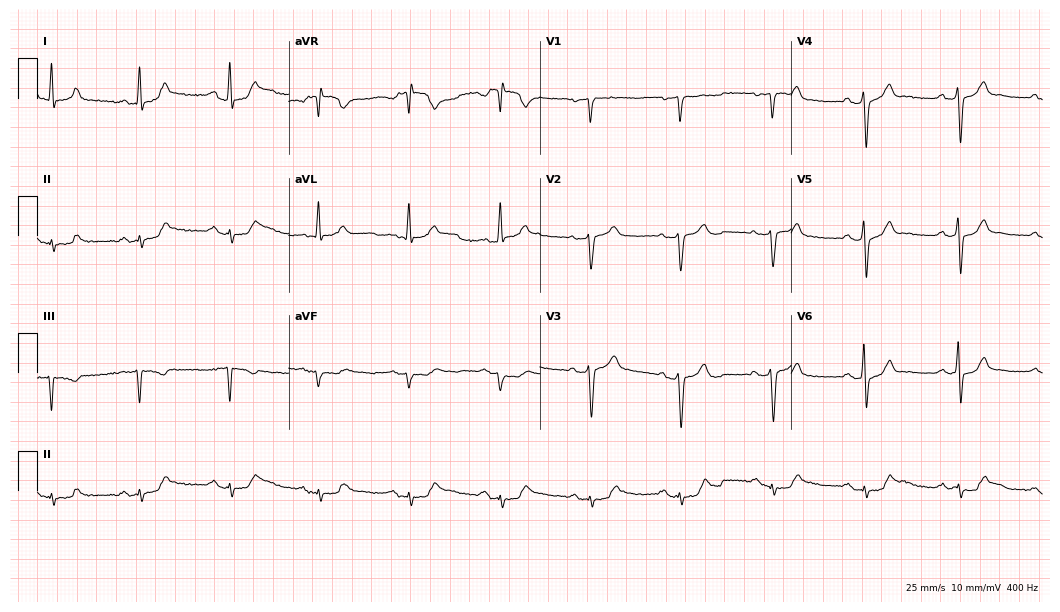
12-lead ECG from a 61-year-old male patient. Screened for six findings — first-degree AV block, right bundle branch block, left bundle branch block, sinus bradycardia, atrial fibrillation, sinus tachycardia — none is recorded.